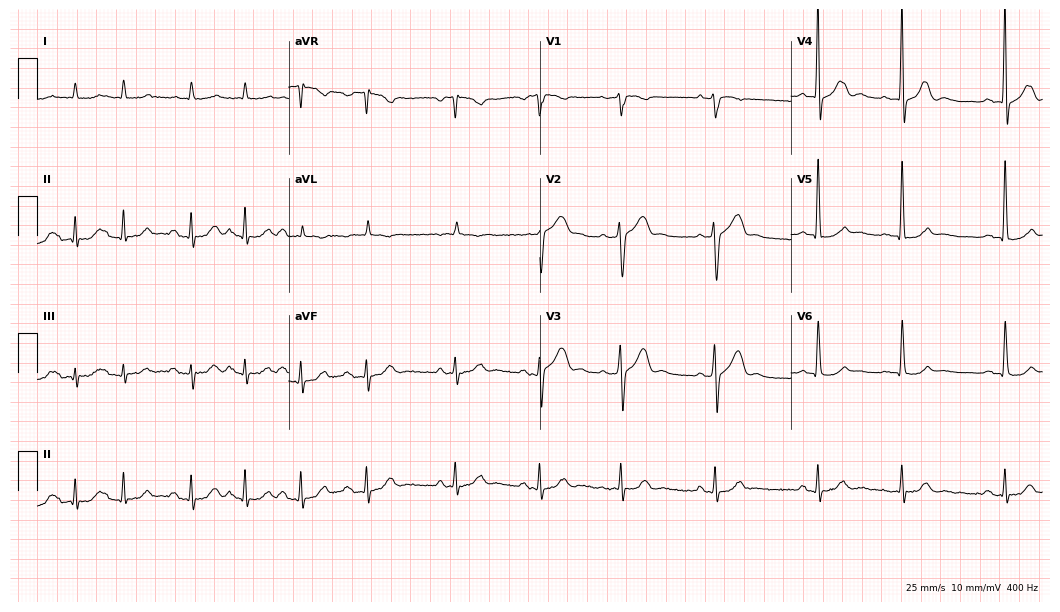
ECG — a 76-year-old male. Screened for six findings — first-degree AV block, right bundle branch block, left bundle branch block, sinus bradycardia, atrial fibrillation, sinus tachycardia — none is recorded. Findings outside these six are not listed.